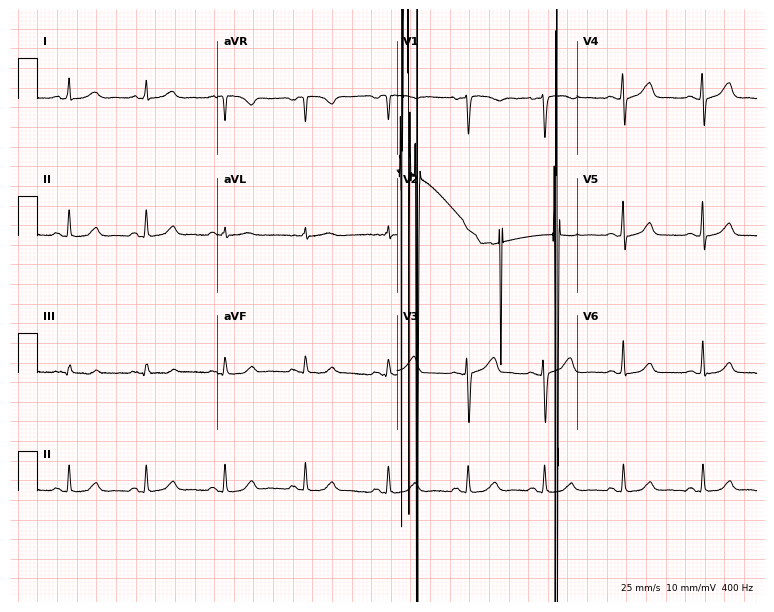
12-lead ECG from a woman, 35 years old. Screened for six findings — first-degree AV block, right bundle branch block, left bundle branch block, sinus bradycardia, atrial fibrillation, sinus tachycardia — none is recorded. Other findings, if any, are not listed.